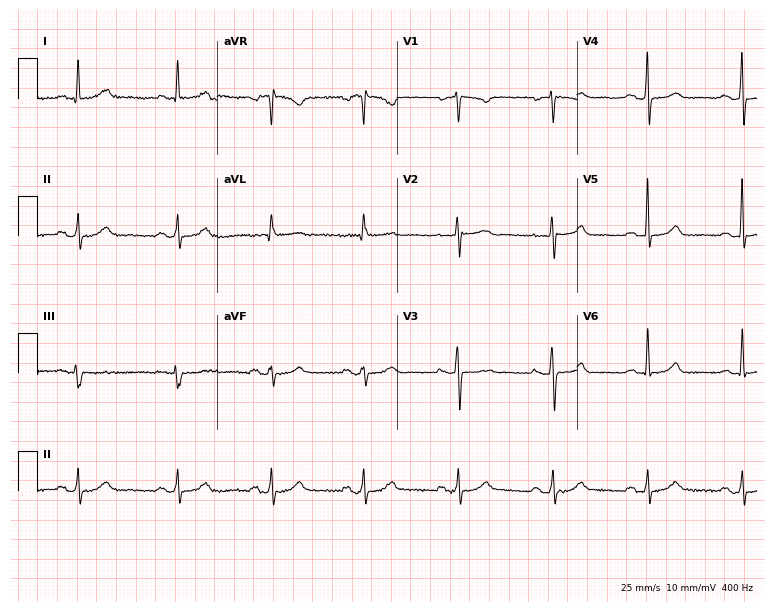
ECG — a woman, 73 years old. Screened for six findings — first-degree AV block, right bundle branch block, left bundle branch block, sinus bradycardia, atrial fibrillation, sinus tachycardia — none is recorded.